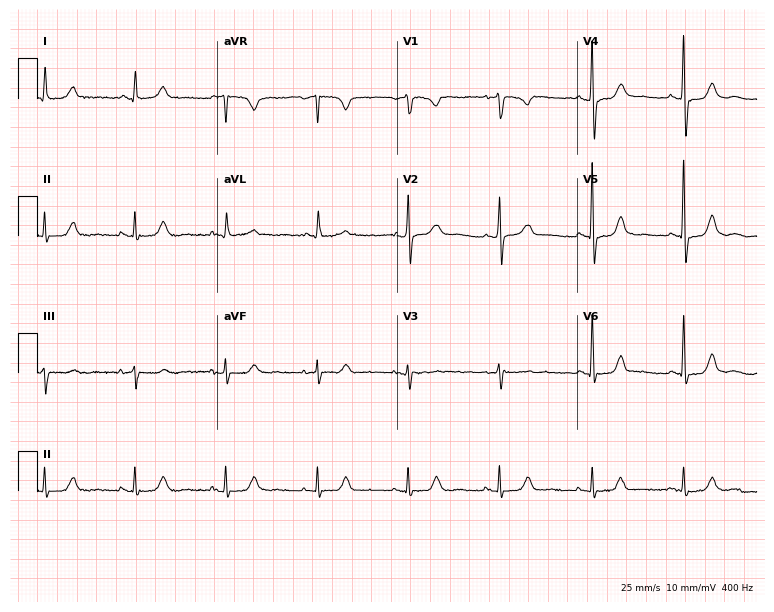
Standard 12-lead ECG recorded from a 57-year-old female patient. Read as a normal ECG.